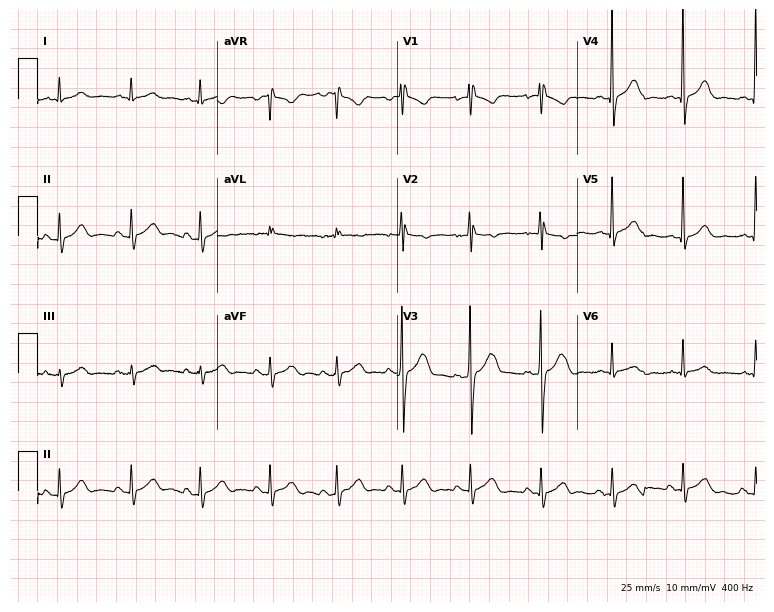
12-lead ECG from a man, 28 years old. Labelled as a normal ECG.